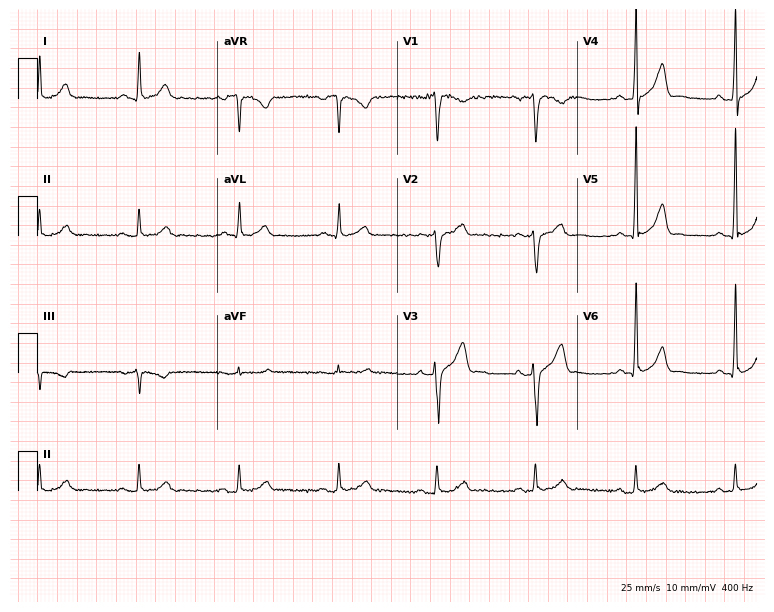
Electrocardiogram (7.3-second recording at 400 Hz), a 58-year-old male. Of the six screened findings (first-degree AV block, right bundle branch block, left bundle branch block, sinus bradycardia, atrial fibrillation, sinus tachycardia), none is recorded. Findings outside these six are not listed.